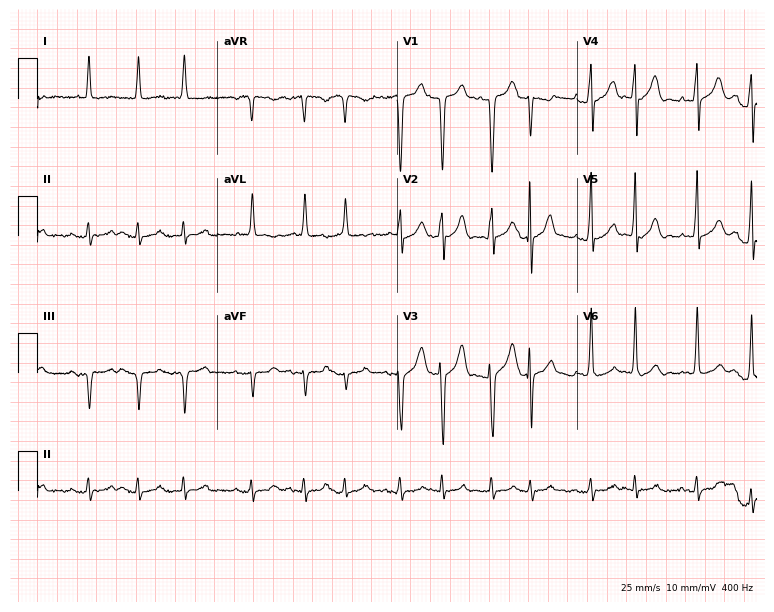
Standard 12-lead ECG recorded from an 82-year-old male patient (7.3-second recording at 400 Hz). None of these six findings is recorded: first-degree AV block, right bundle branch block (RBBB), left bundle branch block (LBBB), sinus bradycardia, atrial fibrillation (AF), sinus tachycardia. Other findings, if any, are not listed.